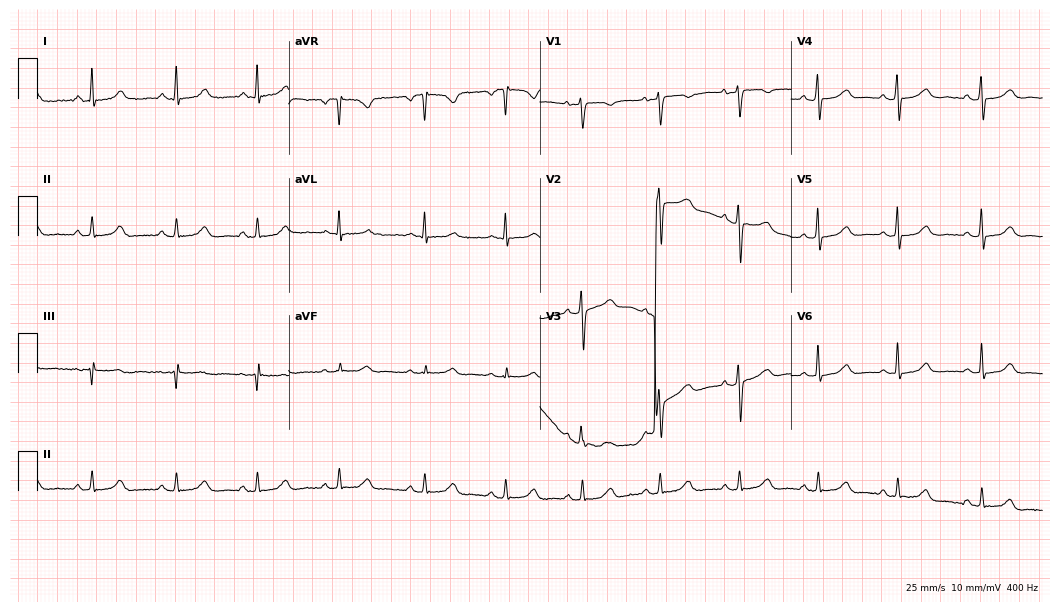
Standard 12-lead ECG recorded from a 38-year-old female patient (10.2-second recording at 400 Hz). Read as a normal ECG.